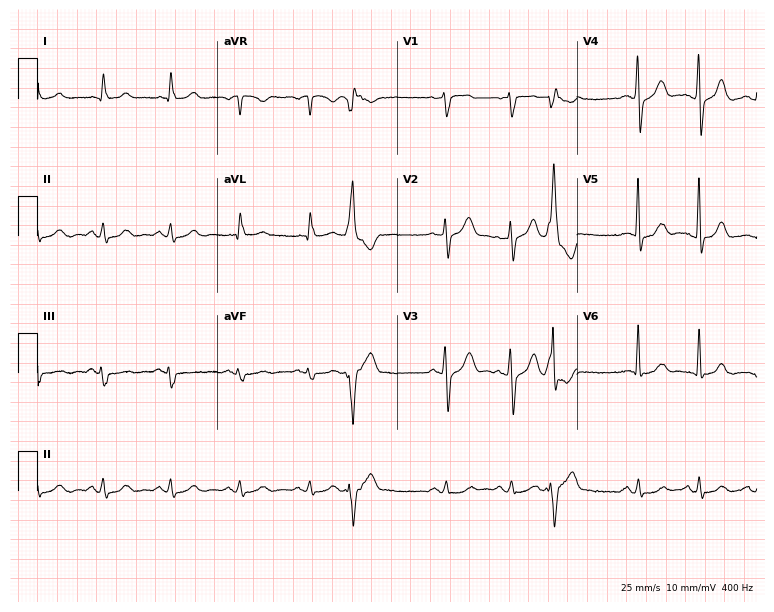
12-lead ECG (7.3-second recording at 400 Hz) from a 76-year-old male patient. Screened for six findings — first-degree AV block, right bundle branch block, left bundle branch block, sinus bradycardia, atrial fibrillation, sinus tachycardia — none is recorded. Other findings, if any, are not listed.